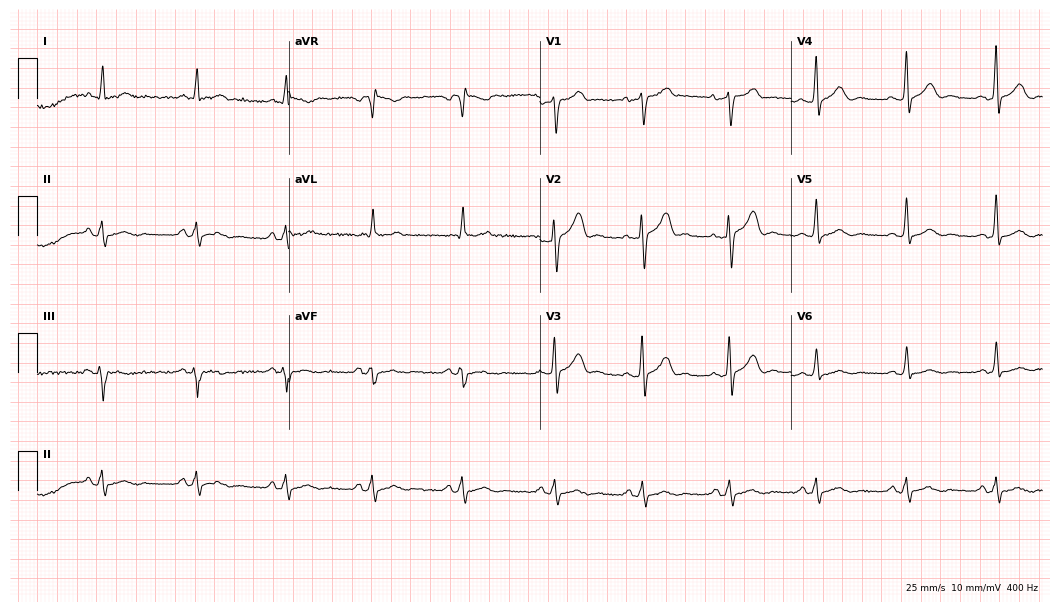
Standard 12-lead ECG recorded from a man, 44 years old (10.2-second recording at 400 Hz). Read as a normal ECG.